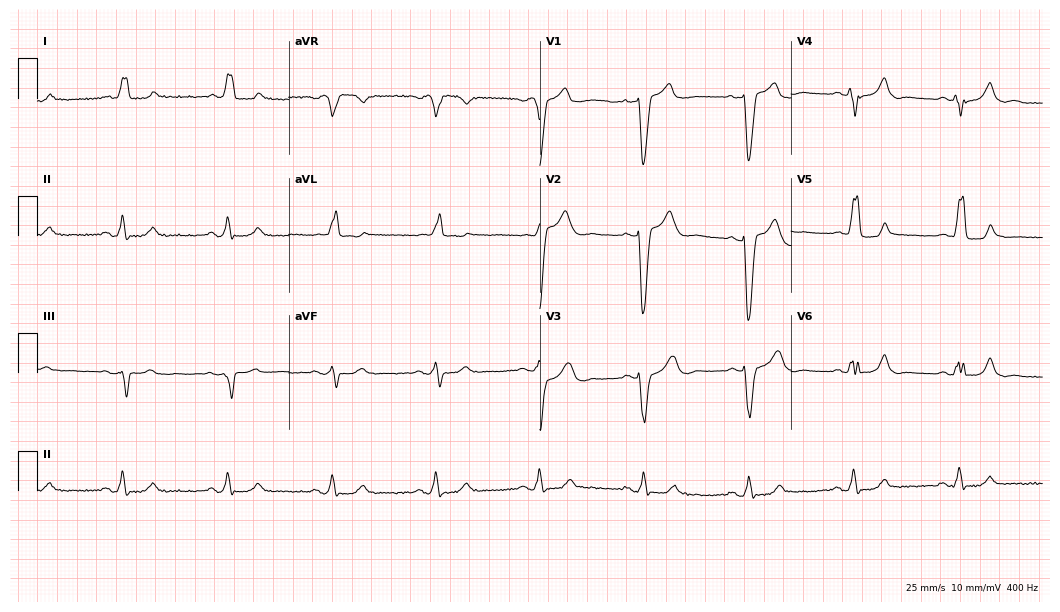
Resting 12-lead electrocardiogram (10.2-second recording at 400 Hz). Patient: a man, 75 years old. The tracing shows left bundle branch block.